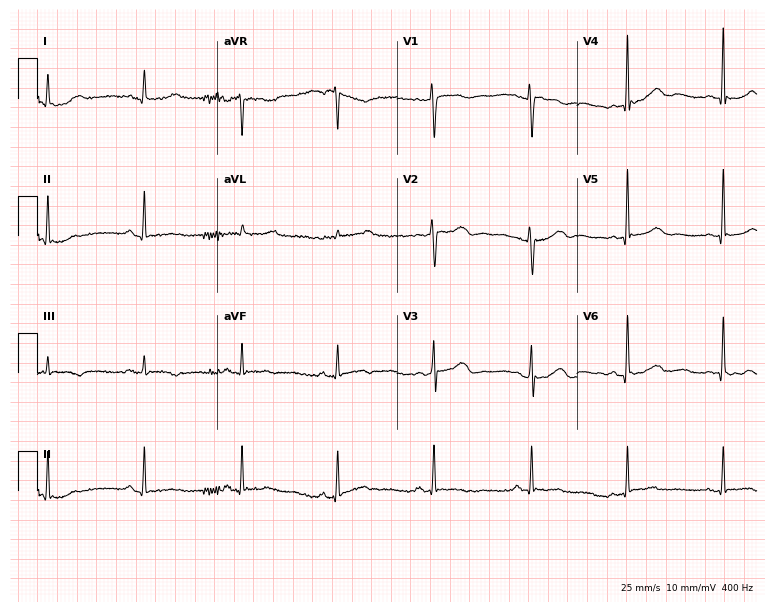
Resting 12-lead electrocardiogram (7.3-second recording at 400 Hz). Patient: a 67-year-old female. Read as a normal ECG.